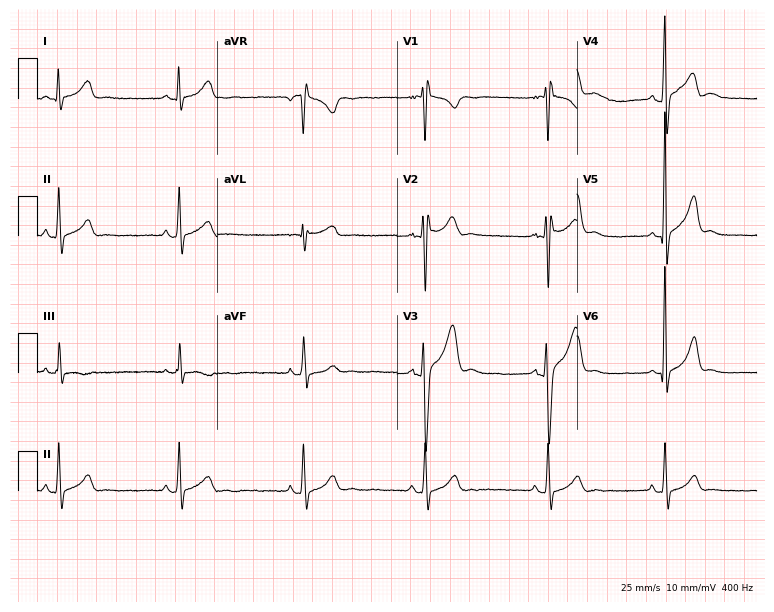
Standard 12-lead ECG recorded from a man, 18 years old (7.3-second recording at 400 Hz). The tracing shows sinus bradycardia (a sinus rate of 50 beats per minute or less).